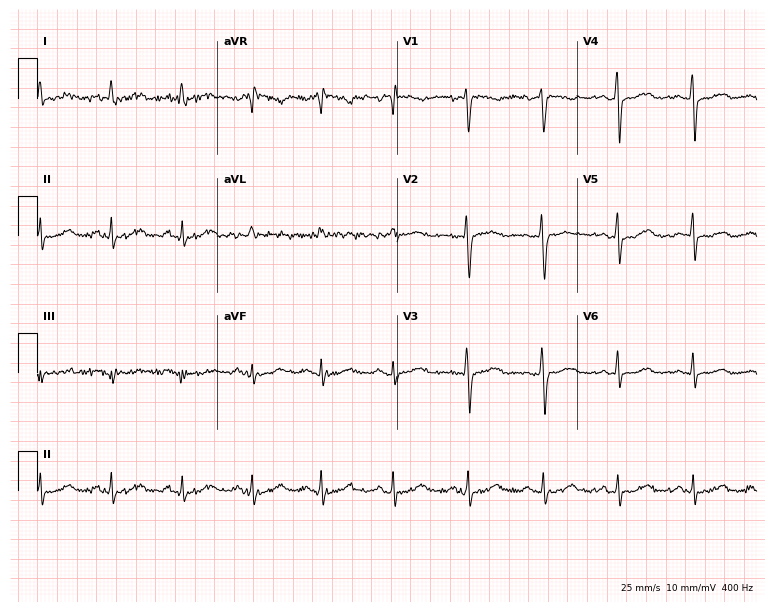
Electrocardiogram, a 36-year-old woman. Overall reading on record: normal ECG.